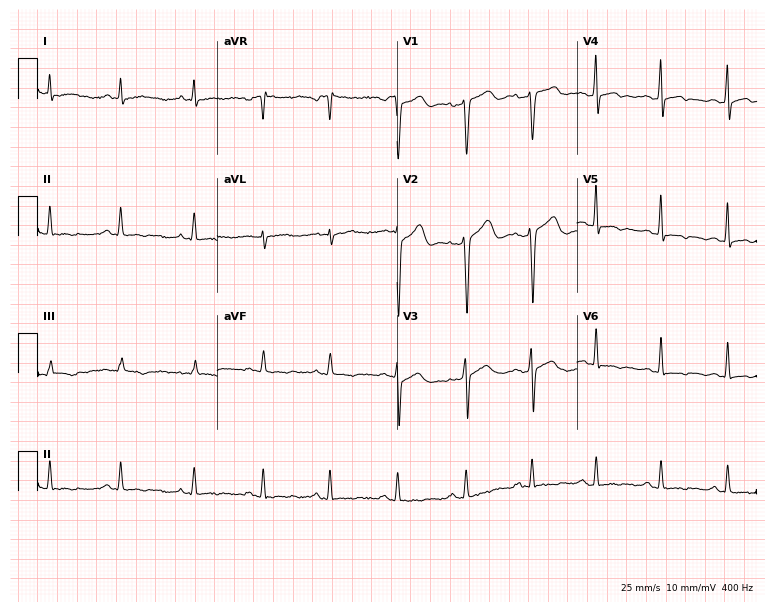
Standard 12-lead ECG recorded from a male patient, 34 years old (7.3-second recording at 400 Hz). None of these six findings is recorded: first-degree AV block, right bundle branch block, left bundle branch block, sinus bradycardia, atrial fibrillation, sinus tachycardia. Findings outside these six are not listed.